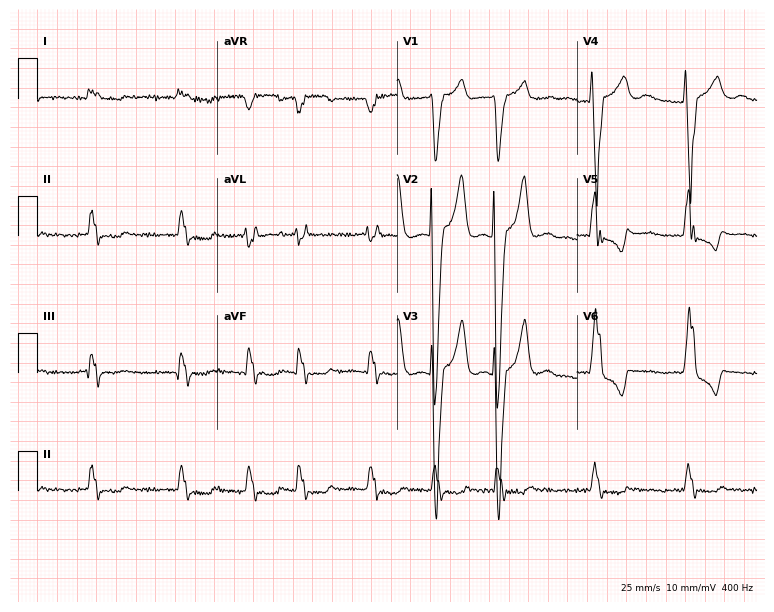
12-lead ECG (7.3-second recording at 400 Hz) from a female, 78 years old. Findings include left bundle branch block, atrial fibrillation.